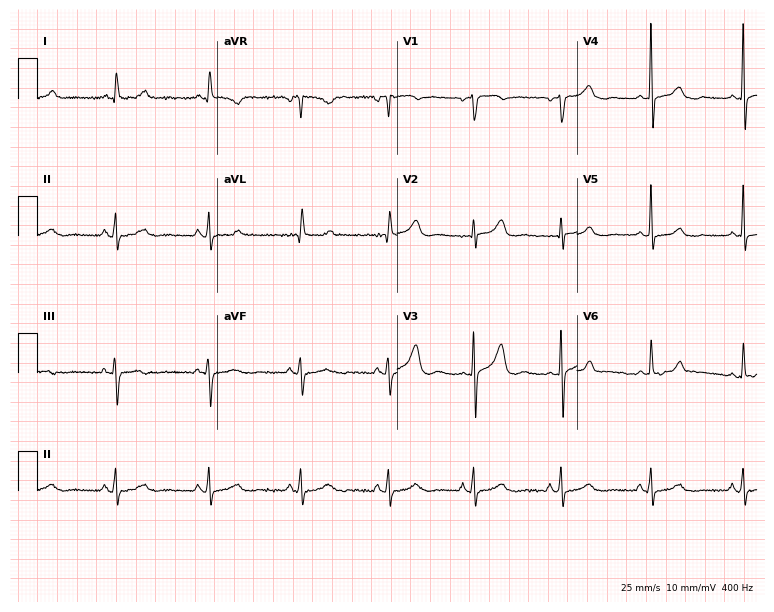
Resting 12-lead electrocardiogram. Patient: a female, 43 years old. Read as a normal ECG.